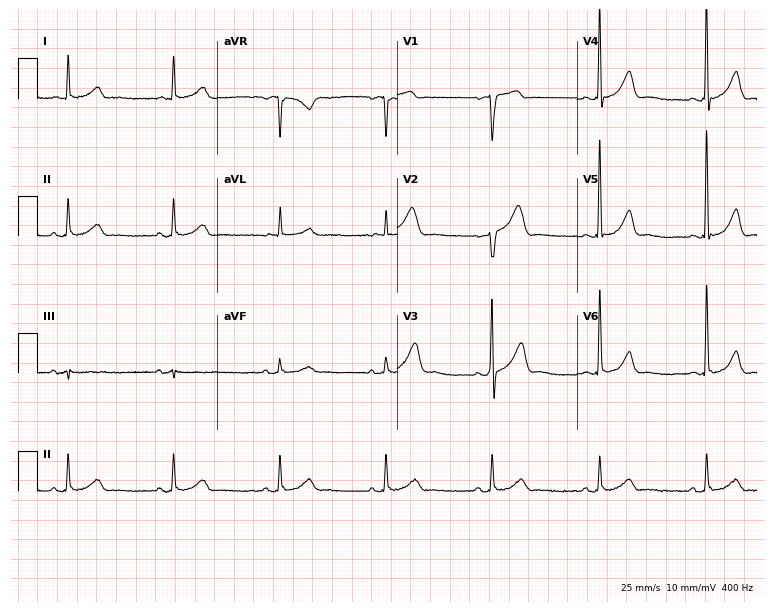
ECG (7.3-second recording at 400 Hz) — a man, 63 years old. Labelled as a normal ECG.